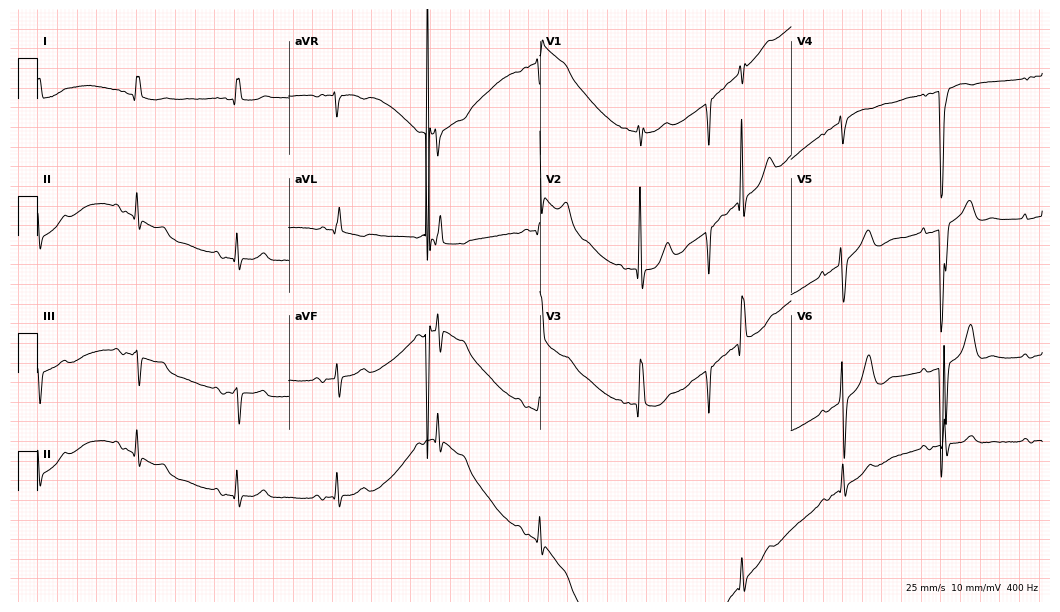
Electrocardiogram, a woman, 76 years old. Of the six screened findings (first-degree AV block, right bundle branch block, left bundle branch block, sinus bradycardia, atrial fibrillation, sinus tachycardia), none is recorded.